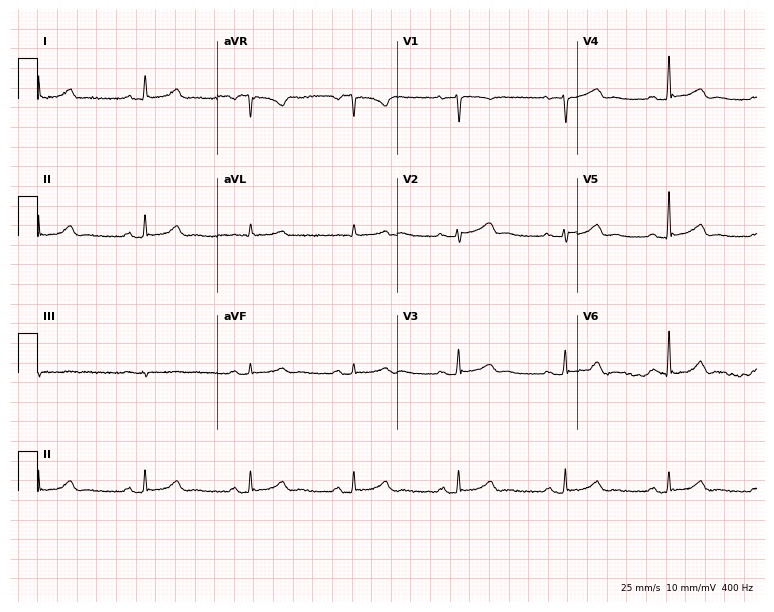
12-lead ECG (7.3-second recording at 400 Hz) from a female, 58 years old. Screened for six findings — first-degree AV block, right bundle branch block, left bundle branch block, sinus bradycardia, atrial fibrillation, sinus tachycardia — none is recorded.